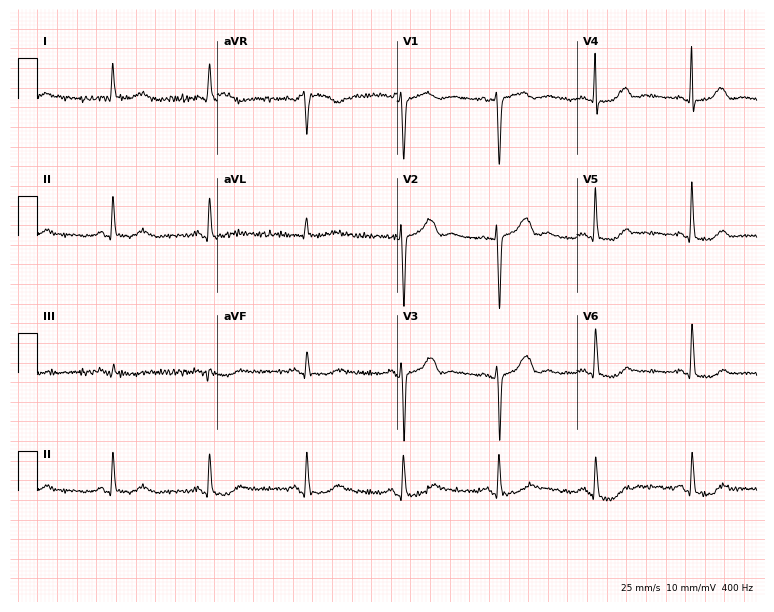
Electrocardiogram (7.3-second recording at 400 Hz), a 79-year-old woman. Of the six screened findings (first-degree AV block, right bundle branch block, left bundle branch block, sinus bradycardia, atrial fibrillation, sinus tachycardia), none is recorded. Only these six findings were labelled.